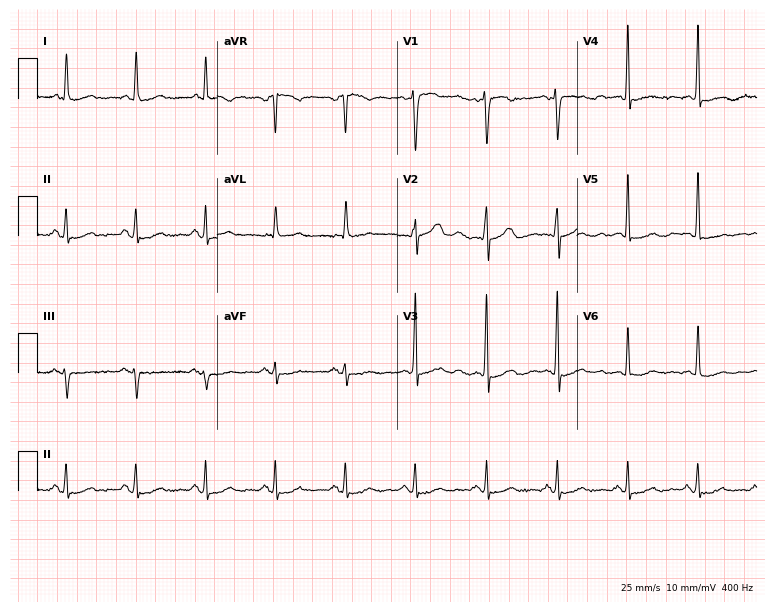
Electrocardiogram (7.3-second recording at 400 Hz), a male patient, 50 years old. Of the six screened findings (first-degree AV block, right bundle branch block, left bundle branch block, sinus bradycardia, atrial fibrillation, sinus tachycardia), none is recorded. Only these six findings were labelled.